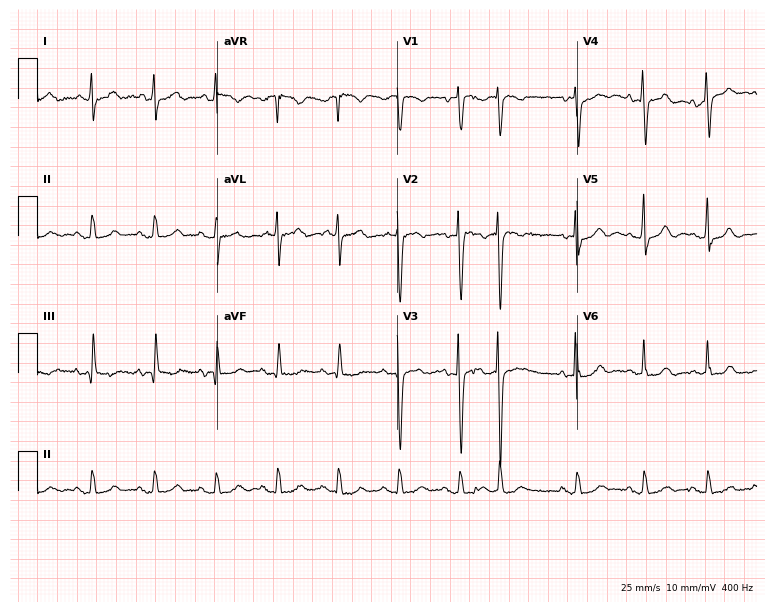
Standard 12-lead ECG recorded from a female patient, 84 years old. None of these six findings is recorded: first-degree AV block, right bundle branch block (RBBB), left bundle branch block (LBBB), sinus bradycardia, atrial fibrillation (AF), sinus tachycardia.